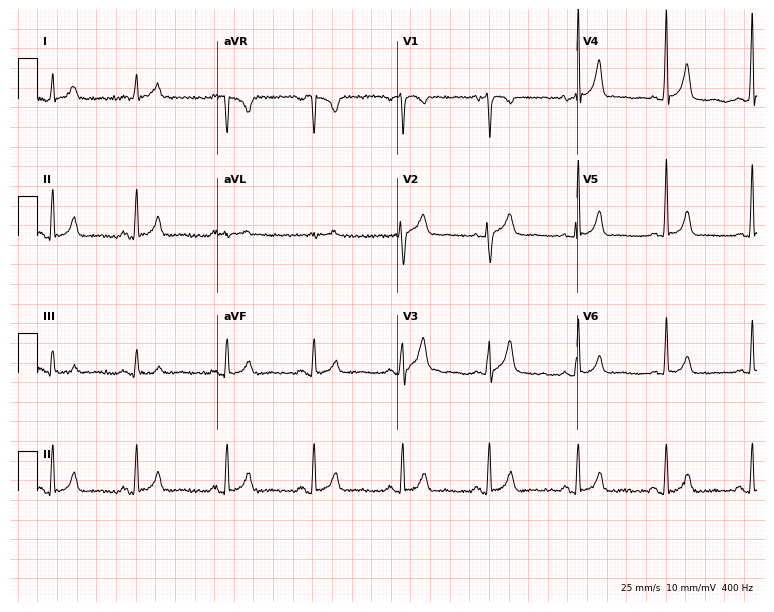
12-lead ECG from a 68-year-old female. No first-degree AV block, right bundle branch block (RBBB), left bundle branch block (LBBB), sinus bradycardia, atrial fibrillation (AF) or sinus tachycardia recorded for this tracing. Findings outside these six are not listed.